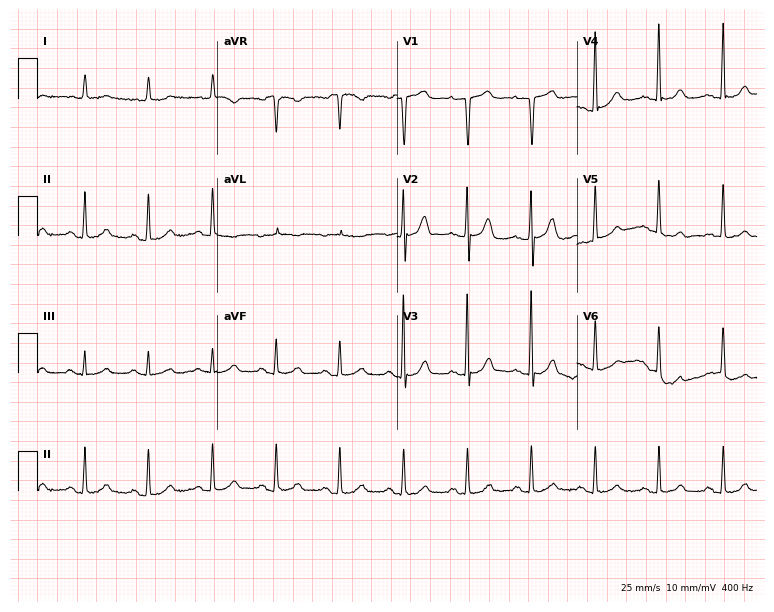
Resting 12-lead electrocardiogram. Patient: an 85-year-old woman. None of these six findings is recorded: first-degree AV block, right bundle branch block, left bundle branch block, sinus bradycardia, atrial fibrillation, sinus tachycardia. Findings outside these six are not listed.